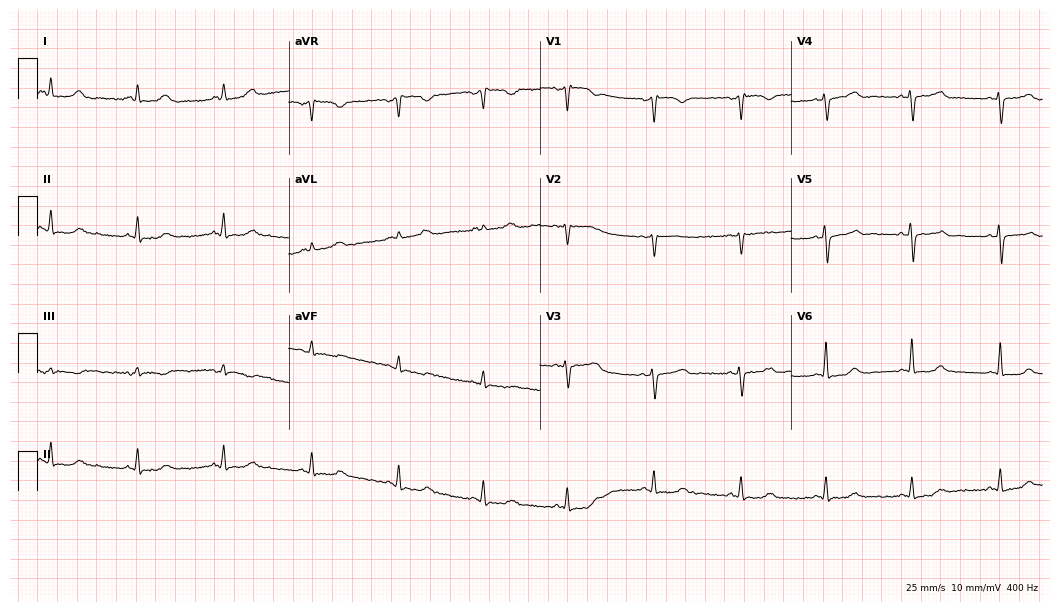
Electrocardiogram, a female, 44 years old. Of the six screened findings (first-degree AV block, right bundle branch block, left bundle branch block, sinus bradycardia, atrial fibrillation, sinus tachycardia), none is recorded.